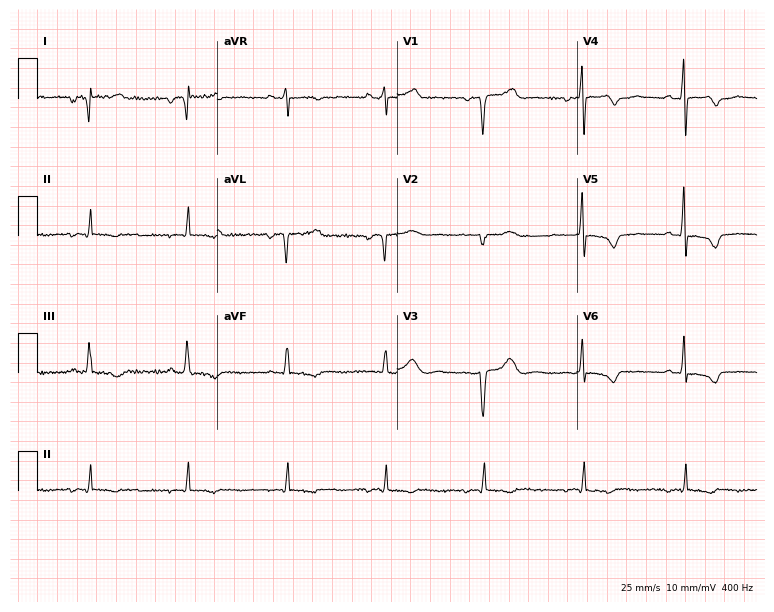
ECG — a 75-year-old female patient. Screened for six findings — first-degree AV block, right bundle branch block, left bundle branch block, sinus bradycardia, atrial fibrillation, sinus tachycardia — none is recorded. Findings outside these six are not listed.